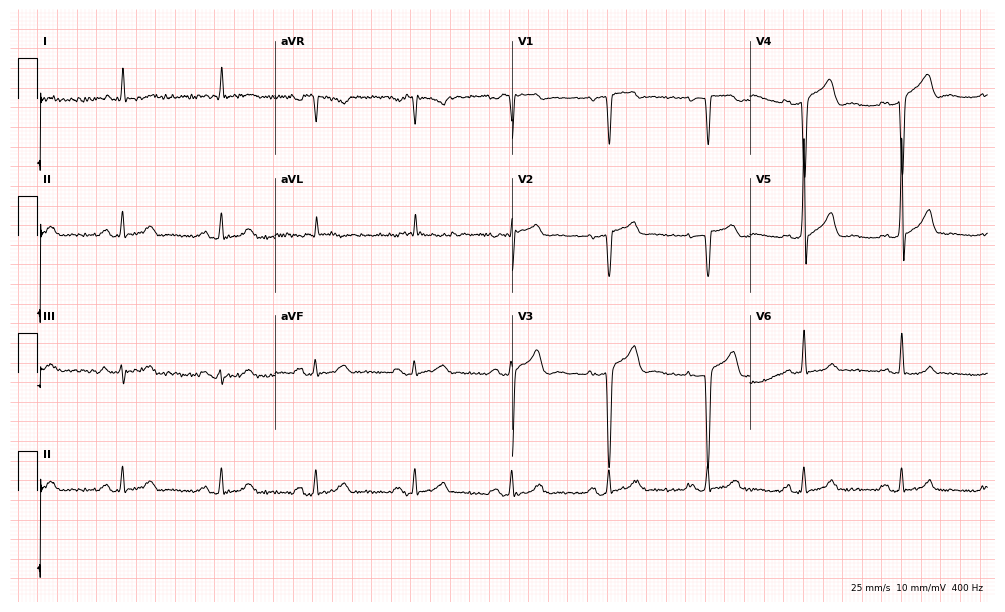
Standard 12-lead ECG recorded from a male, 67 years old. None of these six findings is recorded: first-degree AV block, right bundle branch block (RBBB), left bundle branch block (LBBB), sinus bradycardia, atrial fibrillation (AF), sinus tachycardia. Other findings, if any, are not listed.